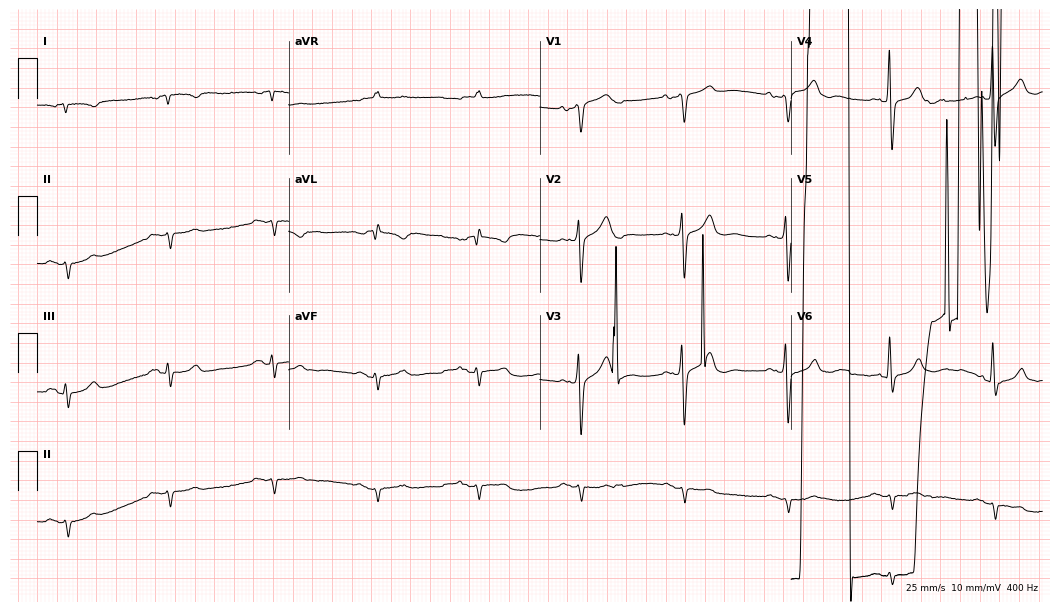
Standard 12-lead ECG recorded from a male, 81 years old (10.2-second recording at 400 Hz). None of these six findings is recorded: first-degree AV block, right bundle branch block (RBBB), left bundle branch block (LBBB), sinus bradycardia, atrial fibrillation (AF), sinus tachycardia.